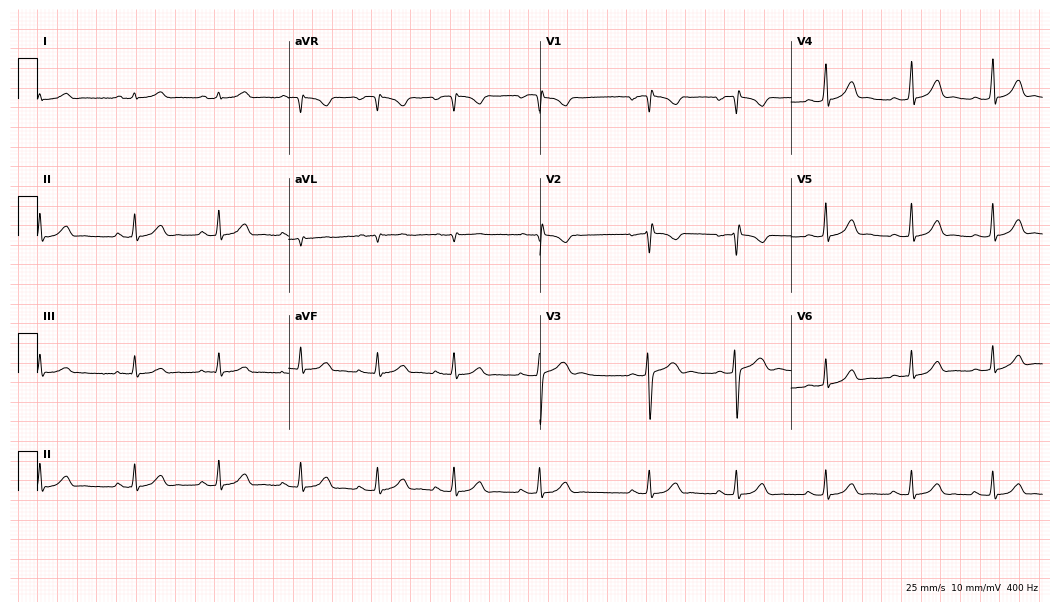
12-lead ECG (10.2-second recording at 400 Hz) from a 24-year-old female. Screened for six findings — first-degree AV block, right bundle branch block, left bundle branch block, sinus bradycardia, atrial fibrillation, sinus tachycardia — none is recorded.